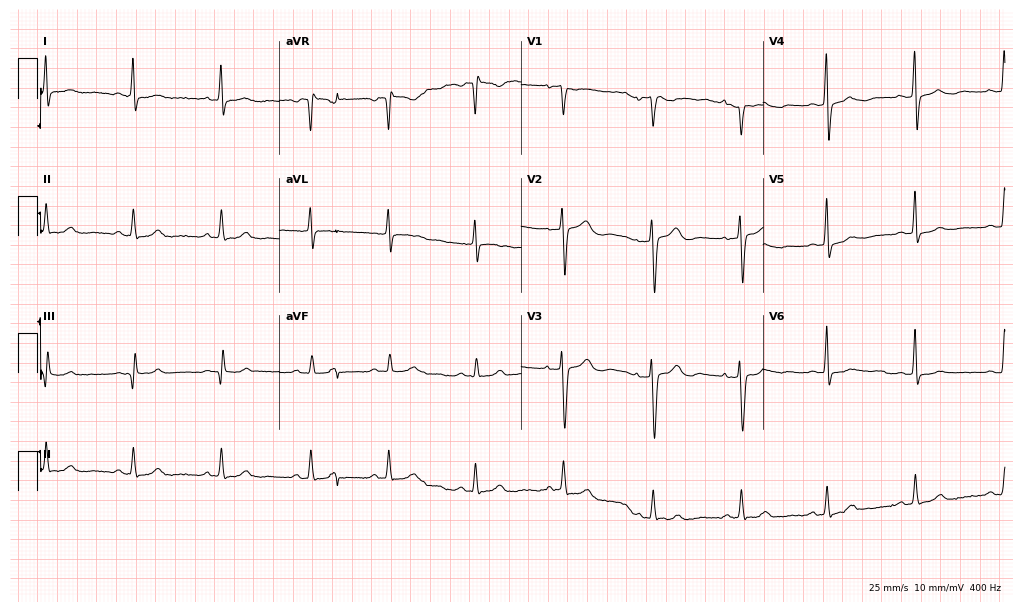
Electrocardiogram (9.9-second recording at 400 Hz), a female patient, 69 years old. Of the six screened findings (first-degree AV block, right bundle branch block, left bundle branch block, sinus bradycardia, atrial fibrillation, sinus tachycardia), none is recorded. Other findings, if any, are not listed.